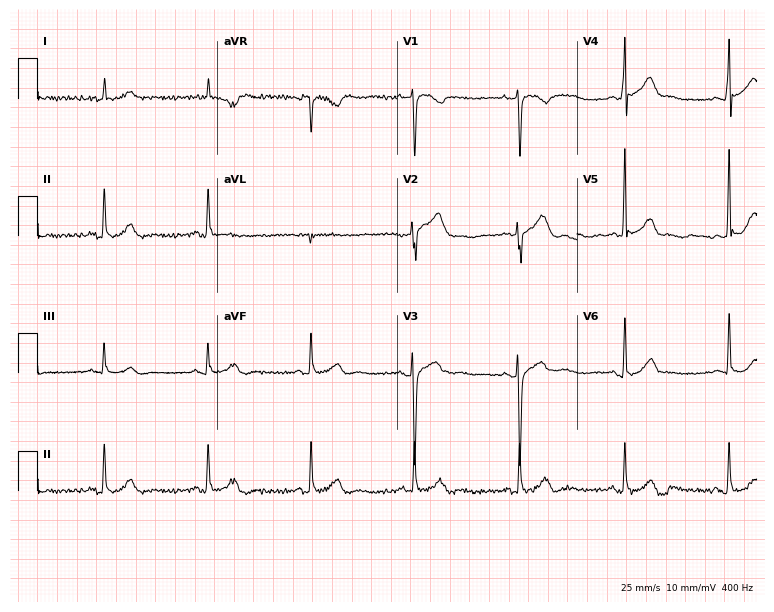
Electrocardiogram (7.3-second recording at 400 Hz), a 48-year-old man. Overall reading on record: normal ECG.